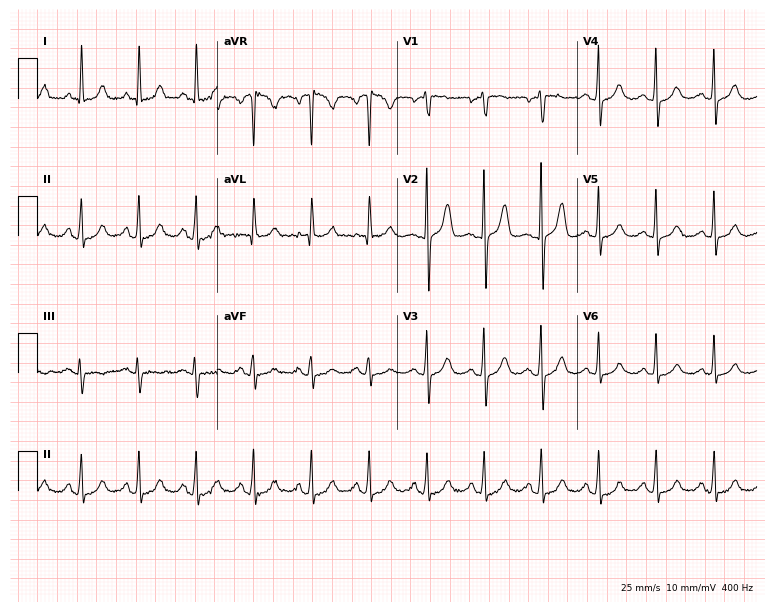
Standard 12-lead ECG recorded from a female patient, 75 years old (7.3-second recording at 400 Hz). None of these six findings is recorded: first-degree AV block, right bundle branch block, left bundle branch block, sinus bradycardia, atrial fibrillation, sinus tachycardia.